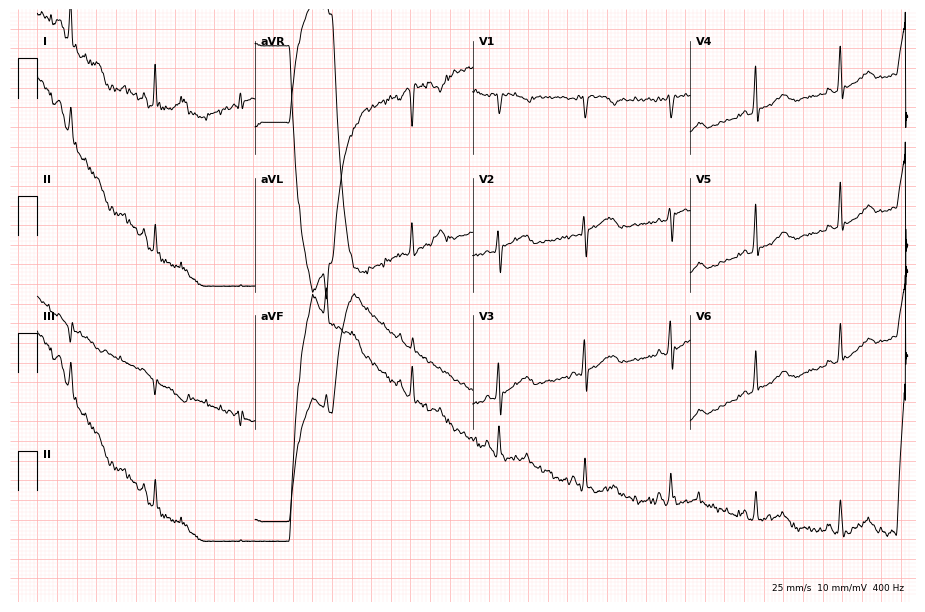
ECG — a female patient, 57 years old. Screened for six findings — first-degree AV block, right bundle branch block, left bundle branch block, sinus bradycardia, atrial fibrillation, sinus tachycardia — none is recorded. Other findings, if any, are not listed.